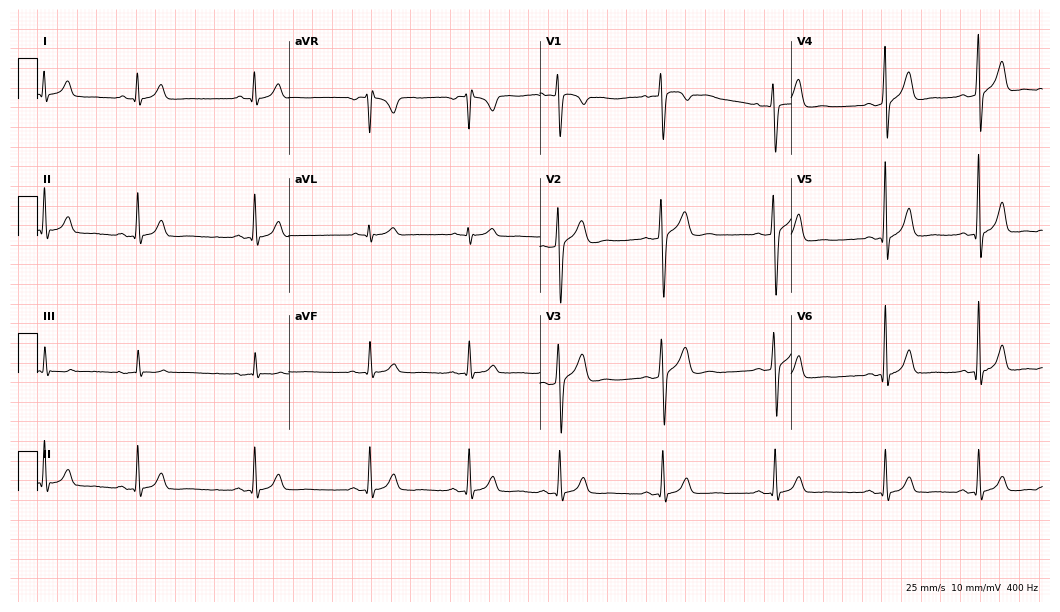
Resting 12-lead electrocardiogram (10.2-second recording at 400 Hz). Patient: a male, 21 years old. None of these six findings is recorded: first-degree AV block, right bundle branch block (RBBB), left bundle branch block (LBBB), sinus bradycardia, atrial fibrillation (AF), sinus tachycardia. Findings outside these six are not listed.